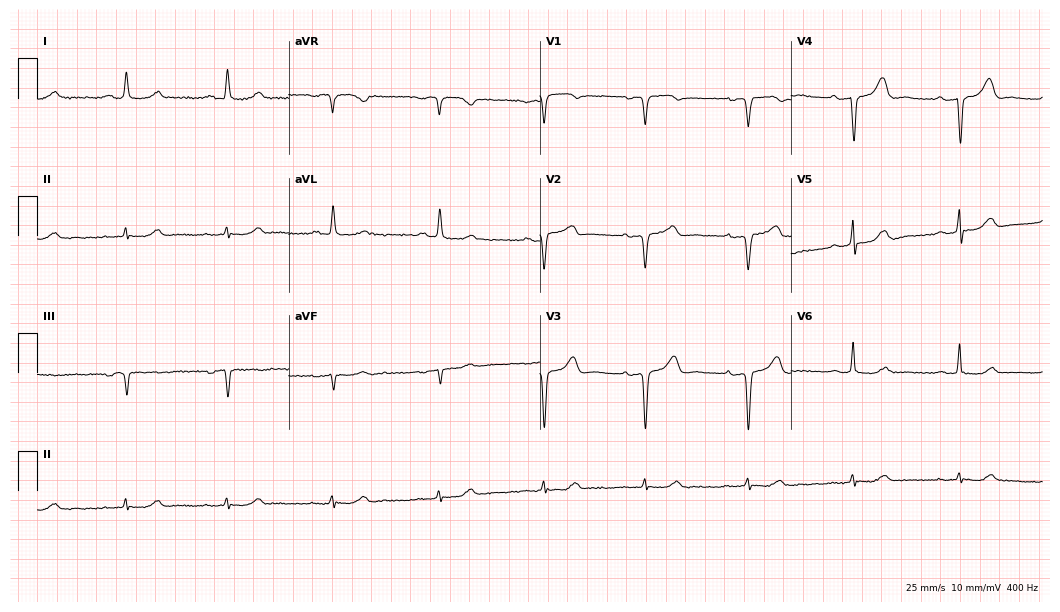
Electrocardiogram (10.2-second recording at 400 Hz), an 80-year-old female. Of the six screened findings (first-degree AV block, right bundle branch block (RBBB), left bundle branch block (LBBB), sinus bradycardia, atrial fibrillation (AF), sinus tachycardia), none is recorded. Findings outside these six are not listed.